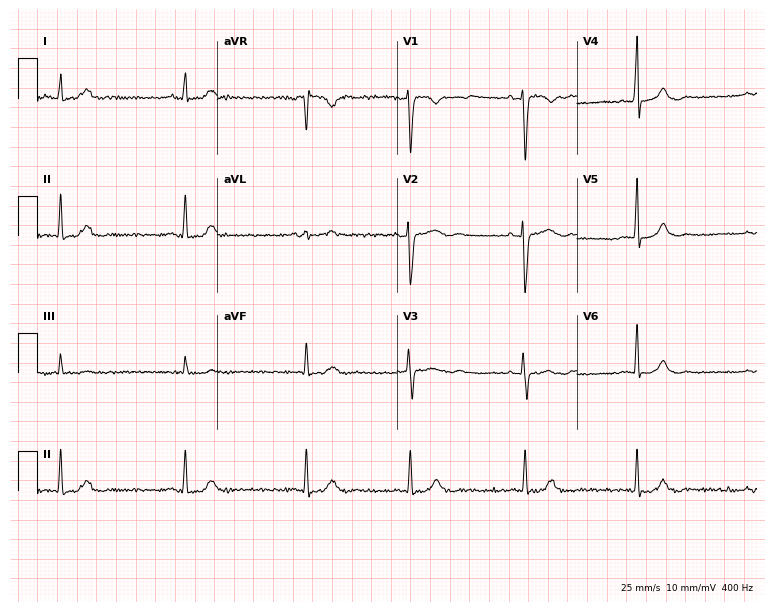
ECG — a female patient, 40 years old. Labelled as a normal ECG.